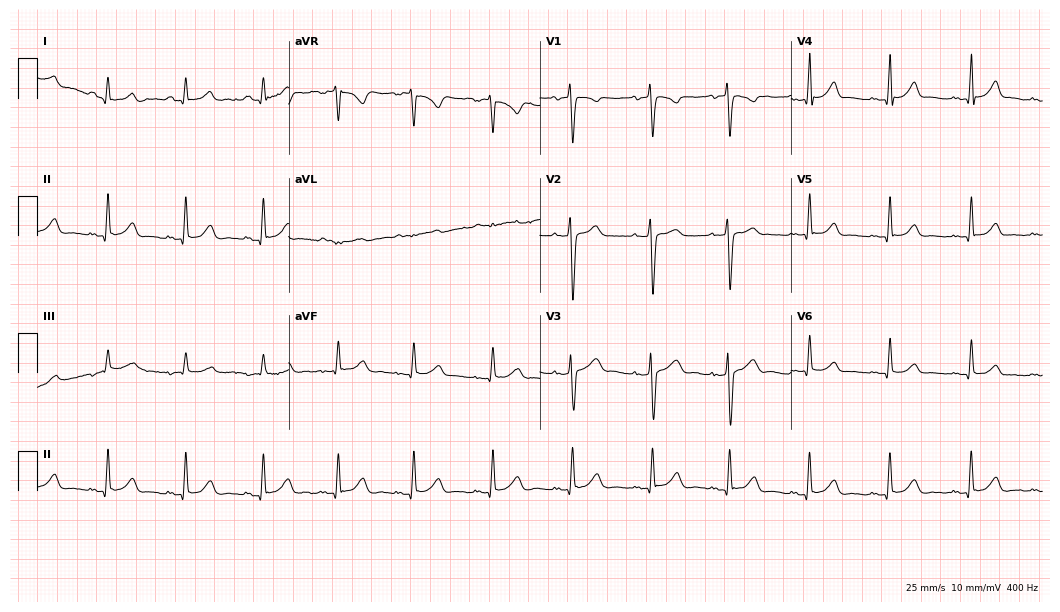
Resting 12-lead electrocardiogram (10.2-second recording at 400 Hz). Patient: a woman, 29 years old. None of these six findings is recorded: first-degree AV block, right bundle branch block, left bundle branch block, sinus bradycardia, atrial fibrillation, sinus tachycardia. Other findings, if any, are not listed.